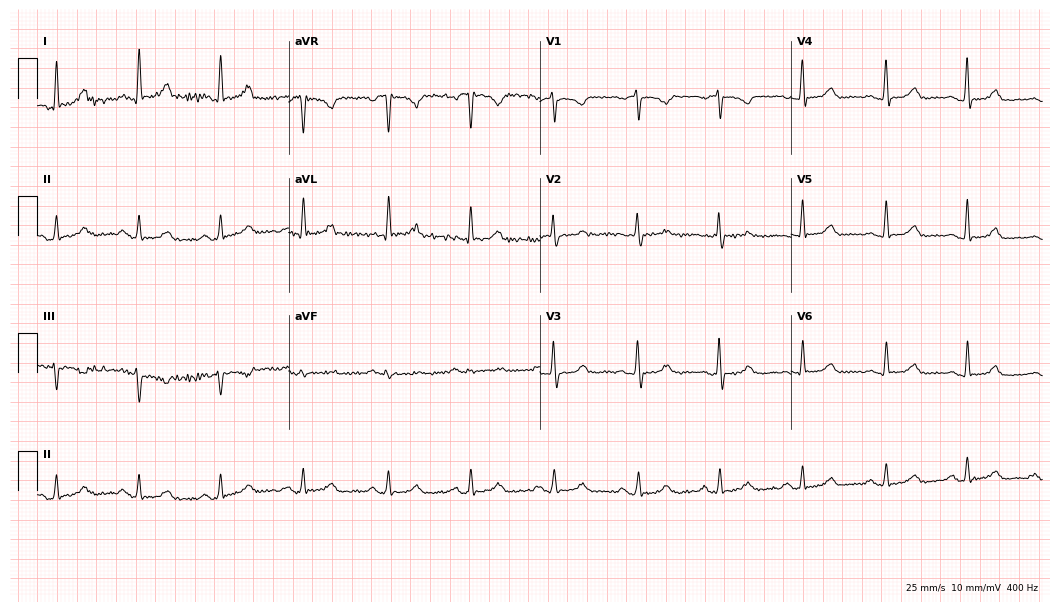
Resting 12-lead electrocardiogram. Patient: a 54-year-old female. Read as a normal ECG.